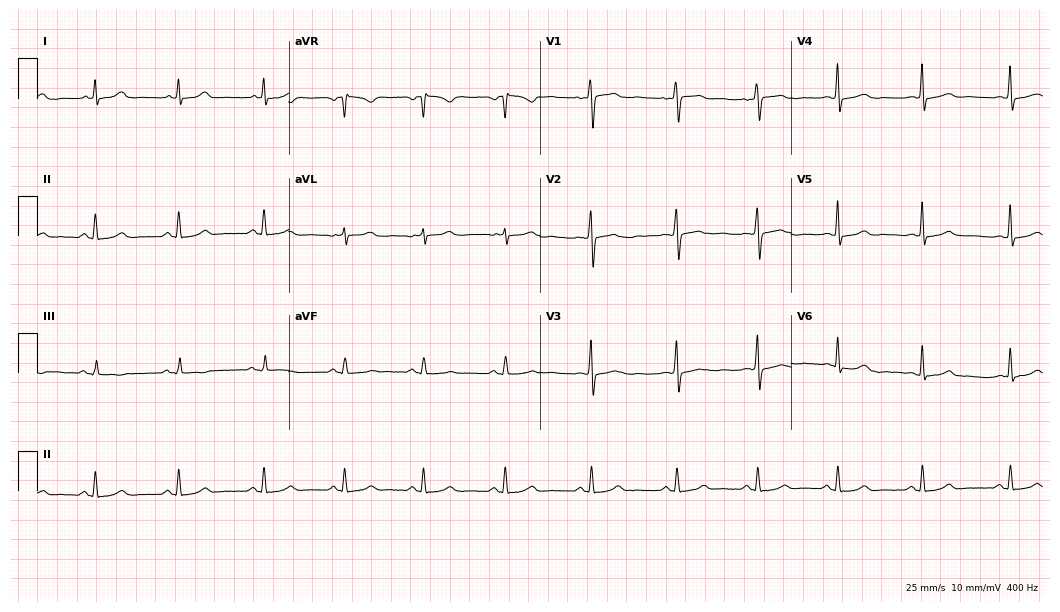
Electrocardiogram, a 46-year-old female. Overall reading on record: normal ECG.